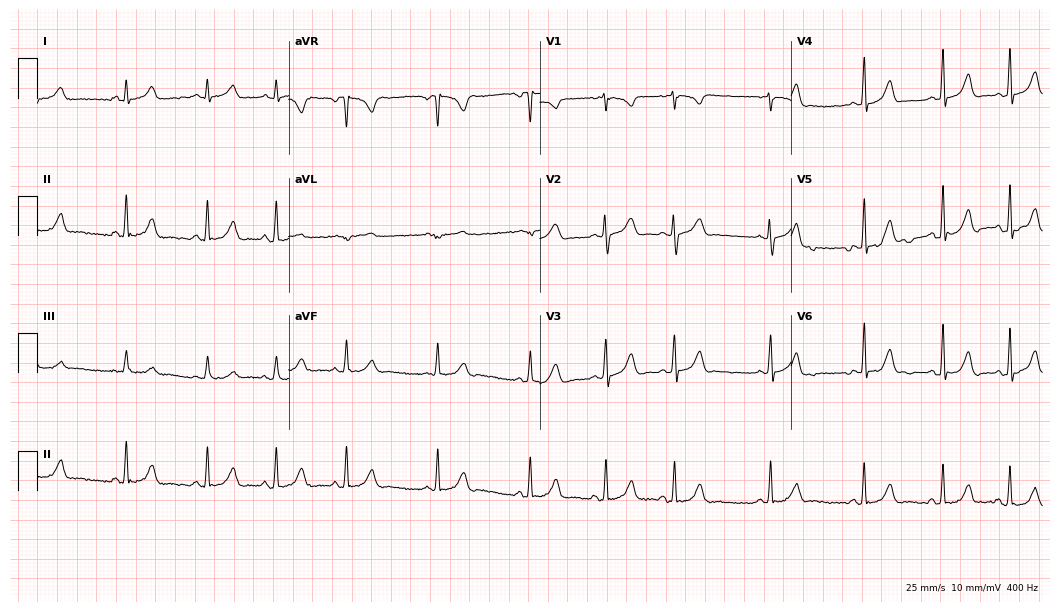
ECG (10.2-second recording at 400 Hz) — a female, 20 years old. Labelled as a normal ECG.